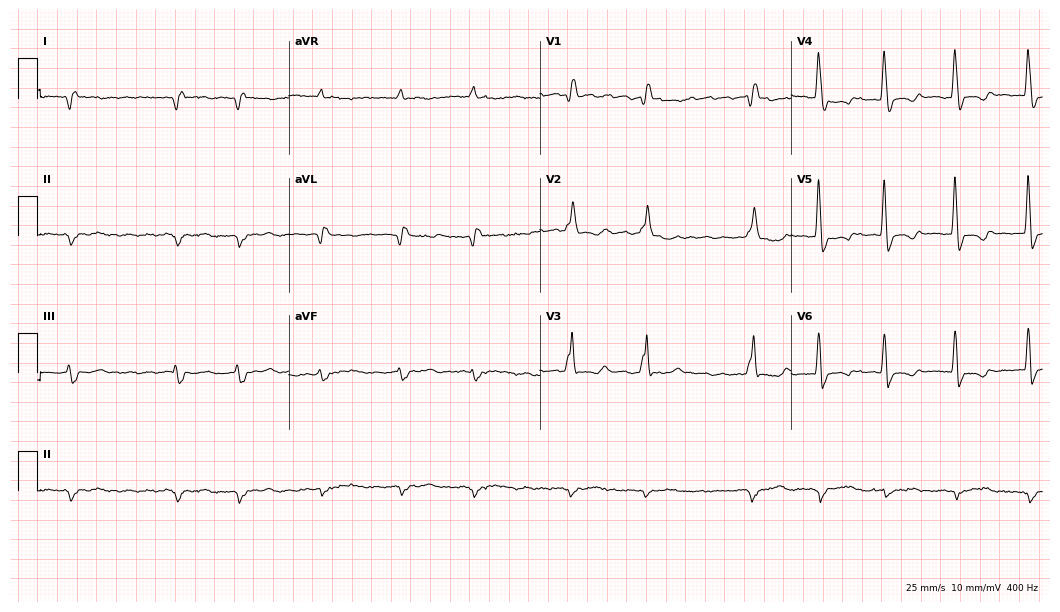
Electrocardiogram, a female, 66 years old. Interpretation includes right bundle branch block, atrial fibrillation.